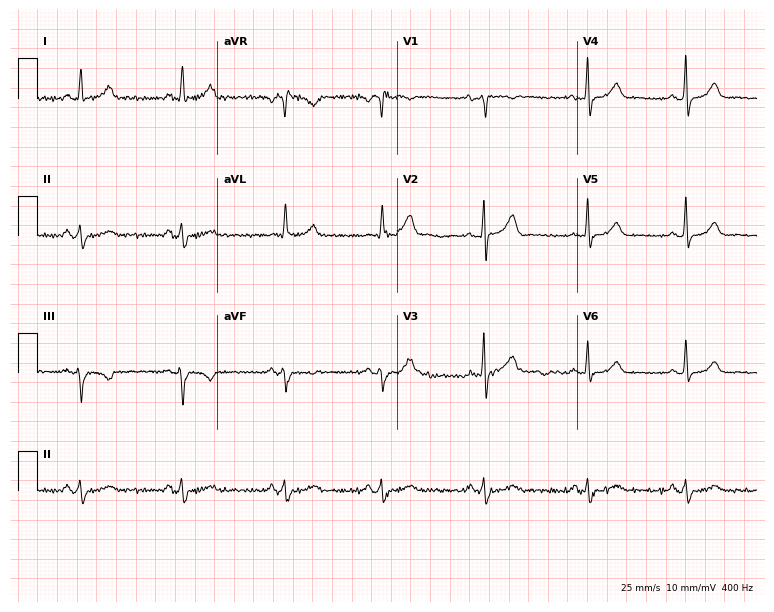
Electrocardiogram (7.3-second recording at 400 Hz), a male patient, 60 years old. Overall reading on record: normal ECG.